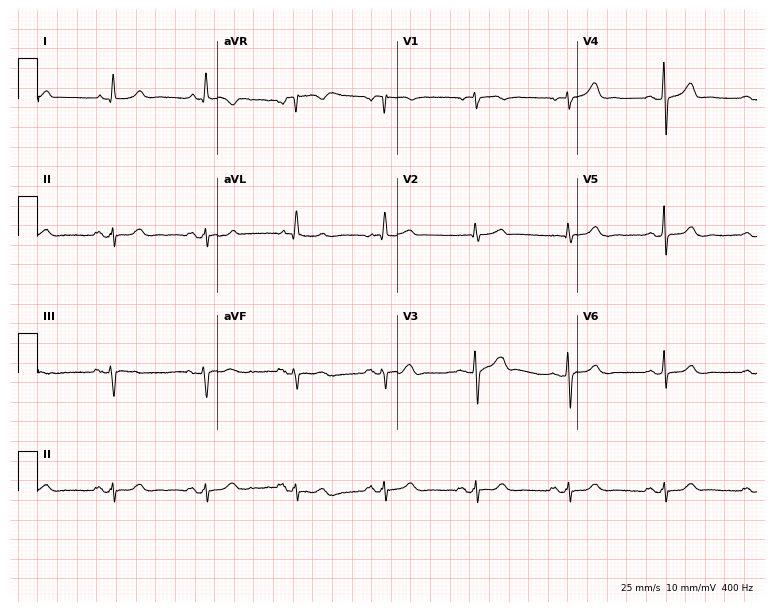
Electrocardiogram, a woman, 71 years old. Of the six screened findings (first-degree AV block, right bundle branch block (RBBB), left bundle branch block (LBBB), sinus bradycardia, atrial fibrillation (AF), sinus tachycardia), none is recorded.